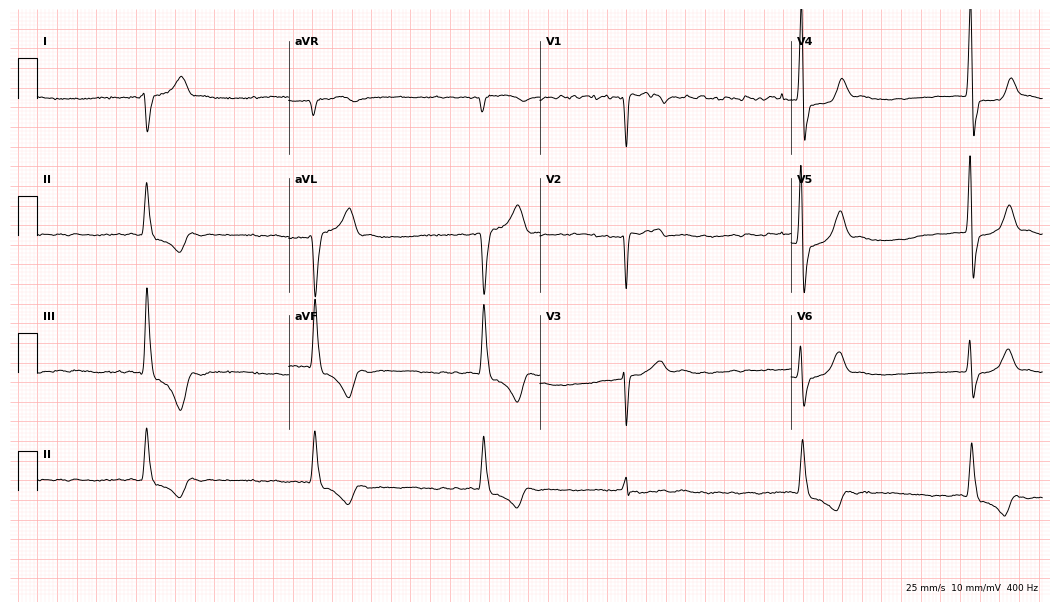
12-lead ECG from a 76-year-old man (10.2-second recording at 400 Hz). Shows atrial fibrillation.